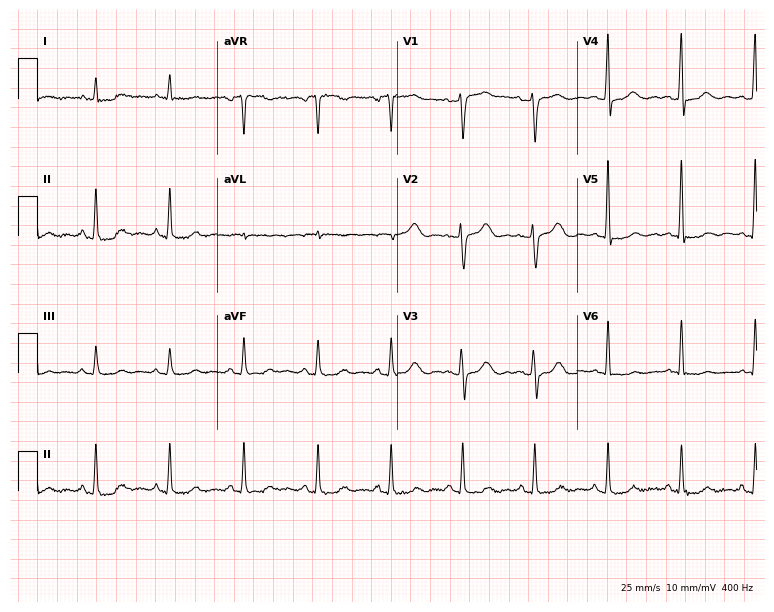
ECG — a 55-year-old female. Screened for six findings — first-degree AV block, right bundle branch block, left bundle branch block, sinus bradycardia, atrial fibrillation, sinus tachycardia — none is recorded.